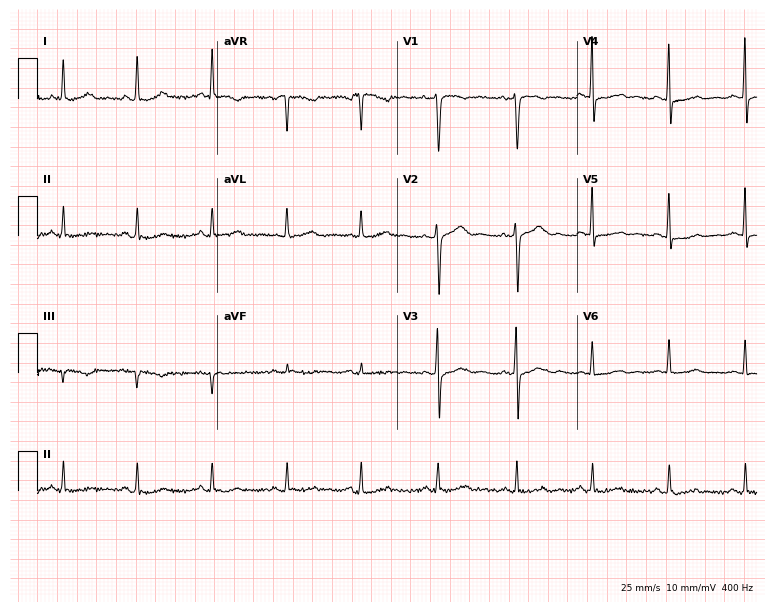
Resting 12-lead electrocardiogram. Patient: a 51-year-old female. None of these six findings is recorded: first-degree AV block, right bundle branch block (RBBB), left bundle branch block (LBBB), sinus bradycardia, atrial fibrillation (AF), sinus tachycardia. Findings outside these six are not listed.